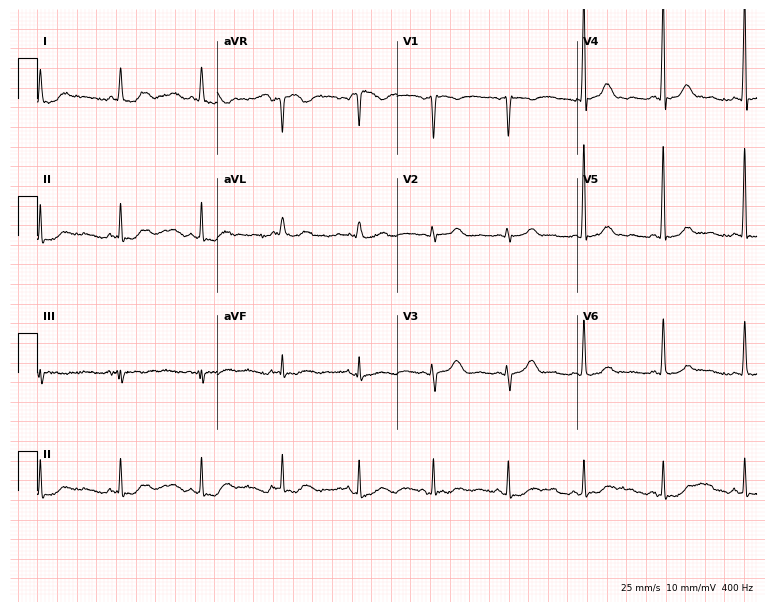
12-lead ECG from a woman, 47 years old (7.3-second recording at 400 Hz). No first-degree AV block, right bundle branch block, left bundle branch block, sinus bradycardia, atrial fibrillation or sinus tachycardia recorded for this tracing. Findings outside these six are not listed.